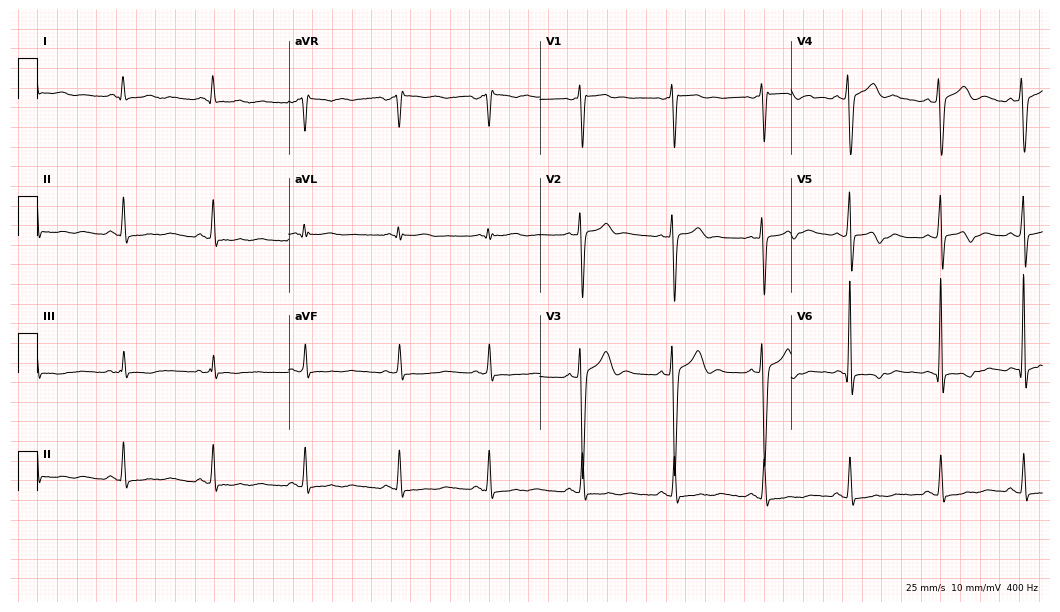
12-lead ECG from a 28-year-old male. No first-degree AV block, right bundle branch block (RBBB), left bundle branch block (LBBB), sinus bradycardia, atrial fibrillation (AF) or sinus tachycardia recorded for this tracing. Other findings, if any, are not listed.